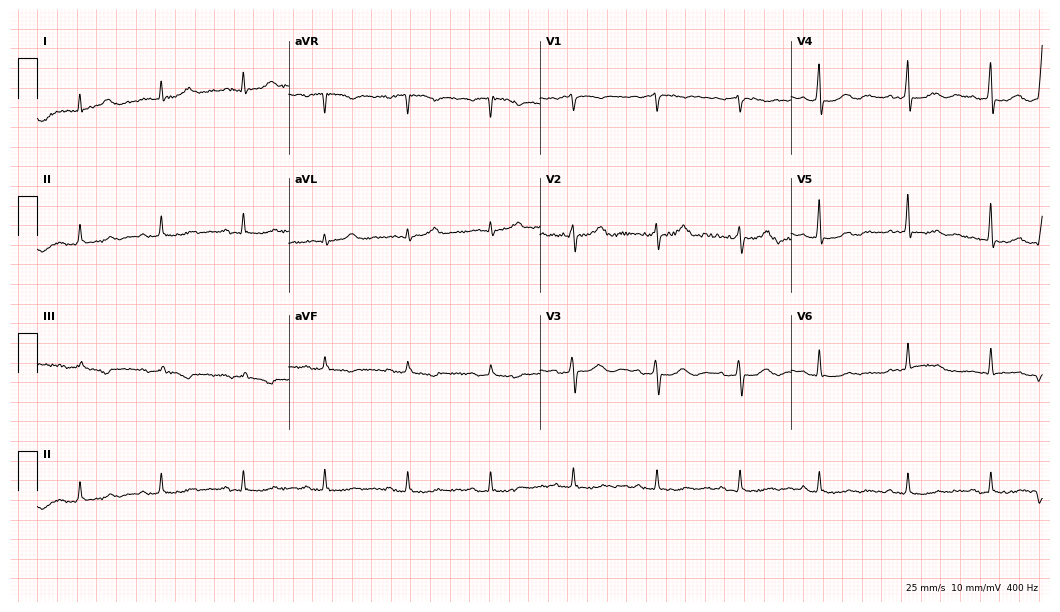
Standard 12-lead ECG recorded from a 67-year-old female. None of these six findings is recorded: first-degree AV block, right bundle branch block, left bundle branch block, sinus bradycardia, atrial fibrillation, sinus tachycardia.